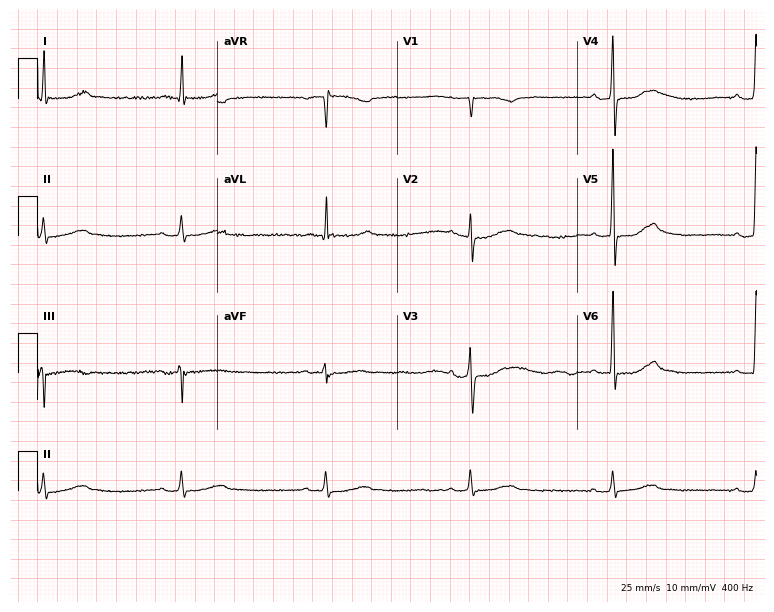
Resting 12-lead electrocardiogram. Patient: a 73-year-old male. None of these six findings is recorded: first-degree AV block, right bundle branch block (RBBB), left bundle branch block (LBBB), sinus bradycardia, atrial fibrillation (AF), sinus tachycardia.